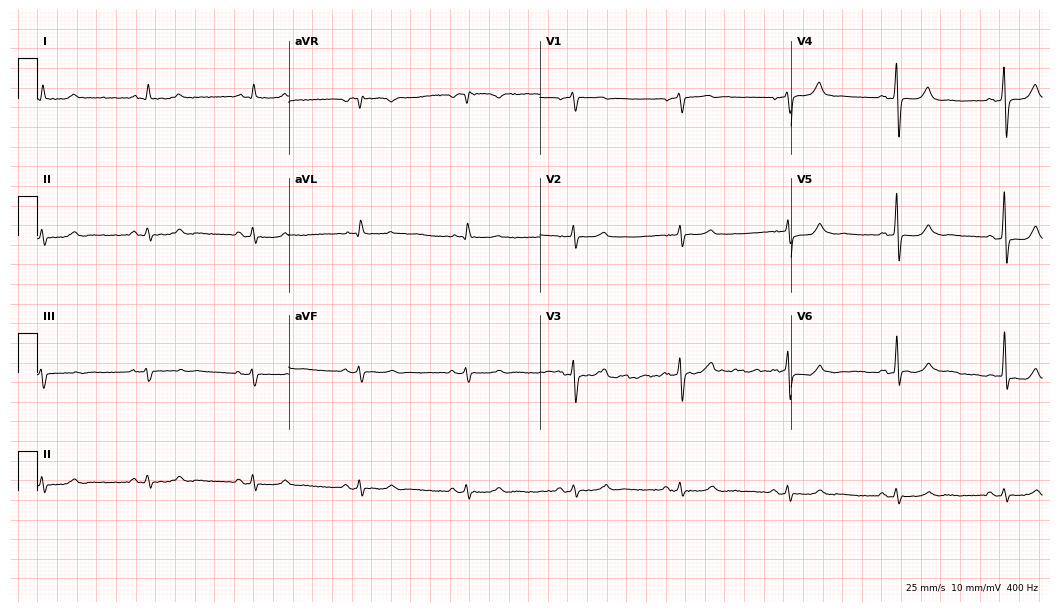
12-lead ECG from an 82-year-old male (10.2-second recording at 400 Hz). Recorded interpretation: within normal limits.